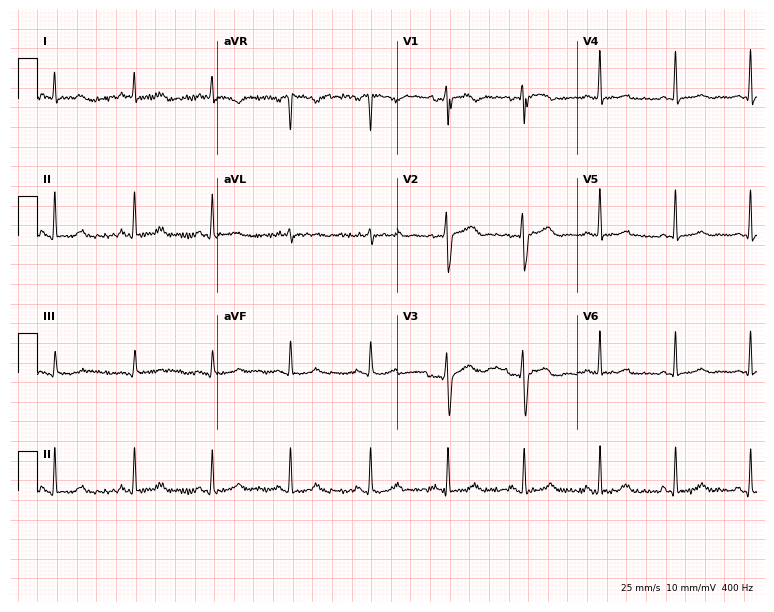
Resting 12-lead electrocardiogram. Patient: a woman, 39 years old. None of these six findings is recorded: first-degree AV block, right bundle branch block, left bundle branch block, sinus bradycardia, atrial fibrillation, sinus tachycardia.